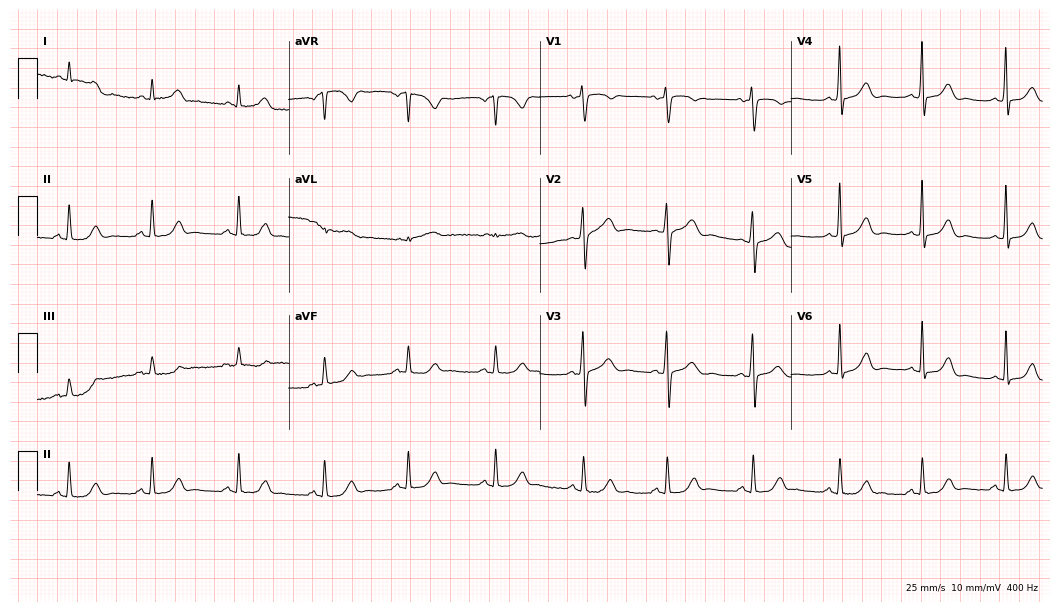
Standard 12-lead ECG recorded from a 66-year-old female patient. Read as a normal ECG.